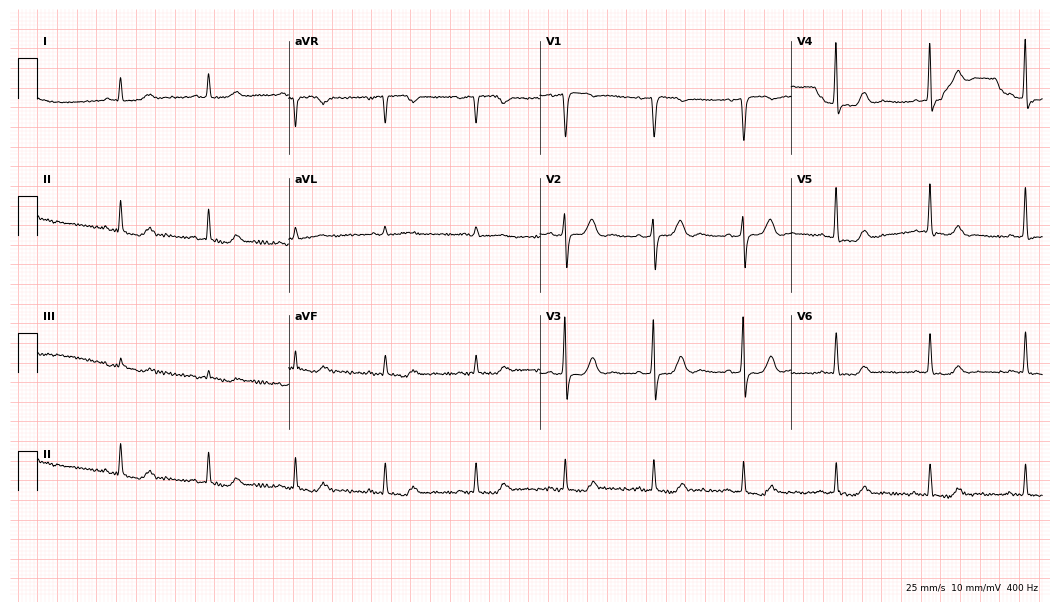
Resting 12-lead electrocardiogram. Patient: a male, 81 years old. None of these six findings is recorded: first-degree AV block, right bundle branch block (RBBB), left bundle branch block (LBBB), sinus bradycardia, atrial fibrillation (AF), sinus tachycardia. Findings outside these six are not listed.